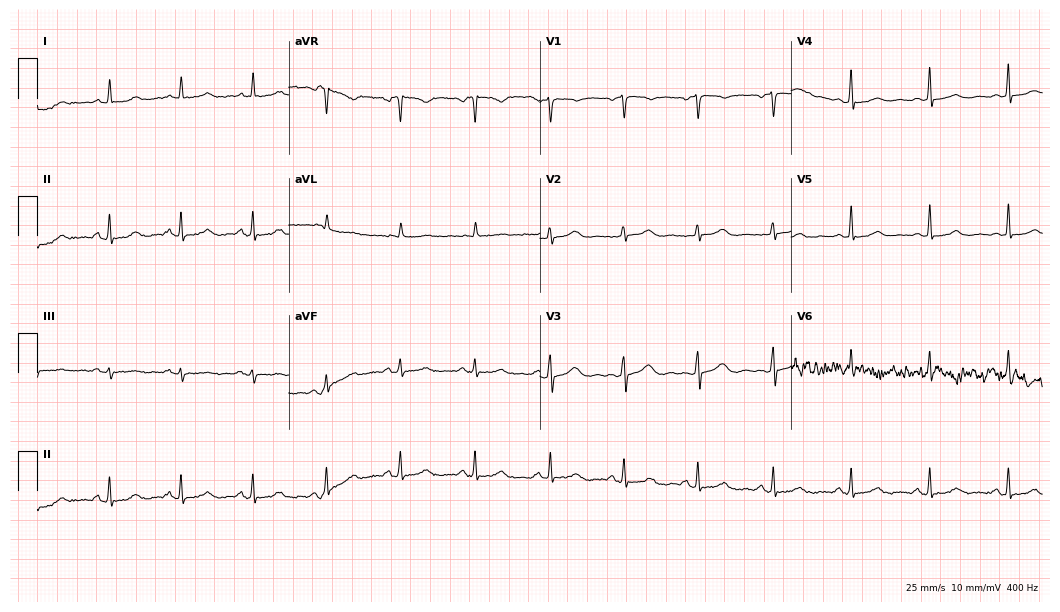
12-lead ECG (10.2-second recording at 400 Hz) from a female patient, 46 years old. Labelled as a normal ECG.